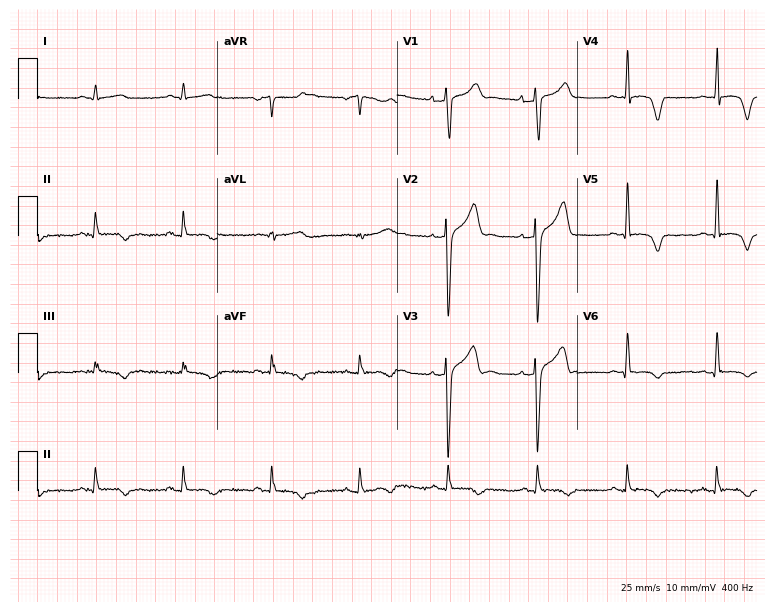
Electrocardiogram, a male patient, 48 years old. Of the six screened findings (first-degree AV block, right bundle branch block (RBBB), left bundle branch block (LBBB), sinus bradycardia, atrial fibrillation (AF), sinus tachycardia), none is recorded. Other findings, if any, are not listed.